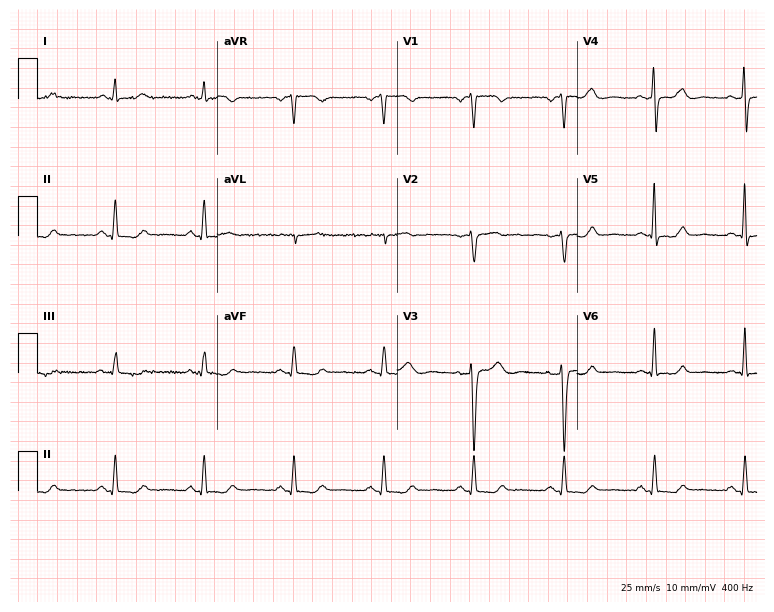
Electrocardiogram (7.3-second recording at 400 Hz), a 46-year-old female patient. Overall reading on record: normal ECG.